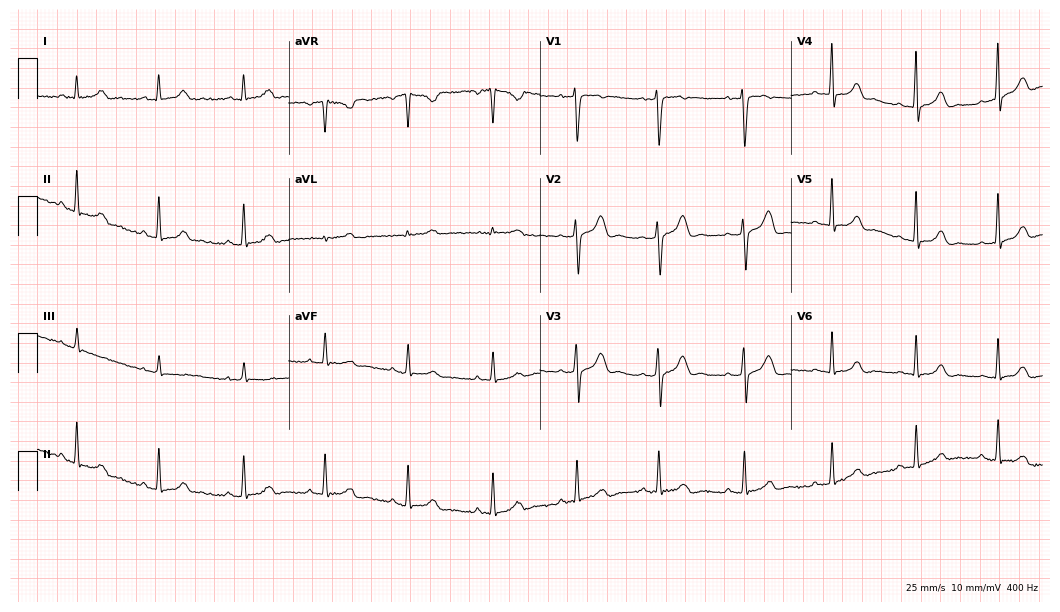
Standard 12-lead ECG recorded from a 41-year-old woman. Read as a normal ECG.